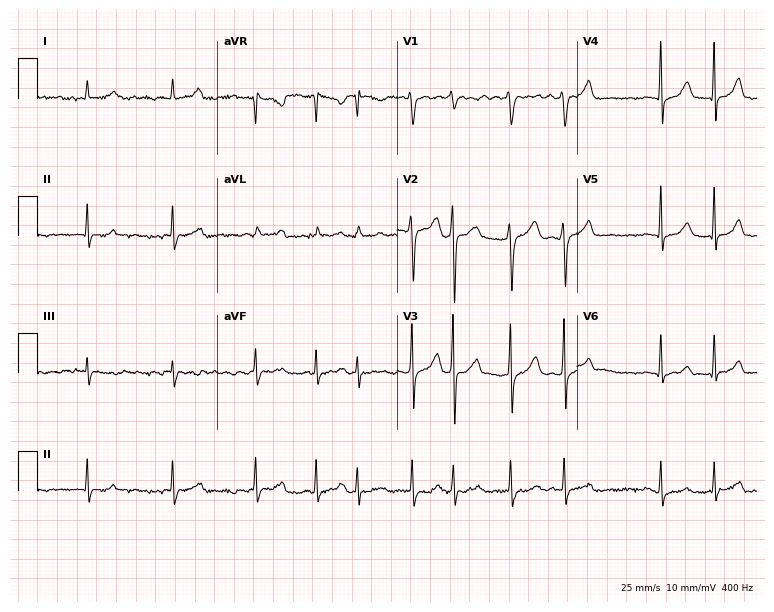
Resting 12-lead electrocardiogram (7.3-second recording at 400 Hz). Patient: a male, 51 years old. The tracing shows atrial fibrillation.